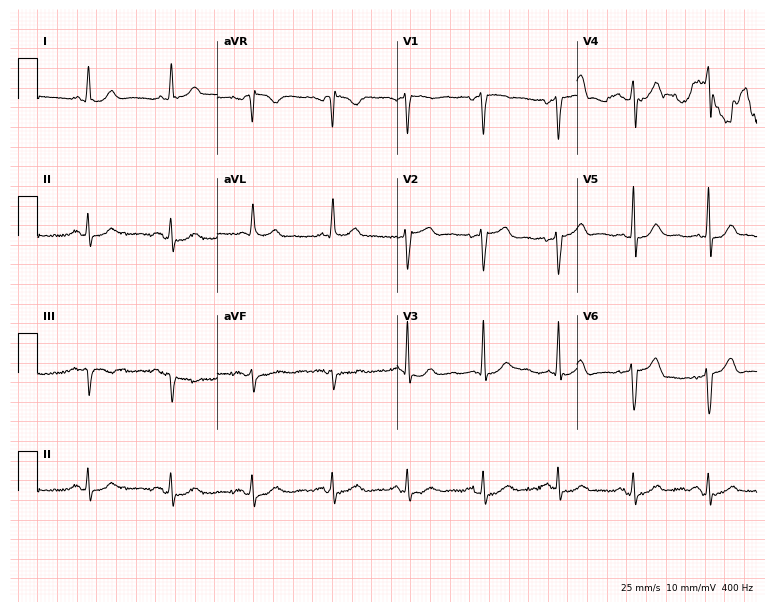
Electrocardiogram, a male patient, 60 years old. Overall reading on record: normal ECG.